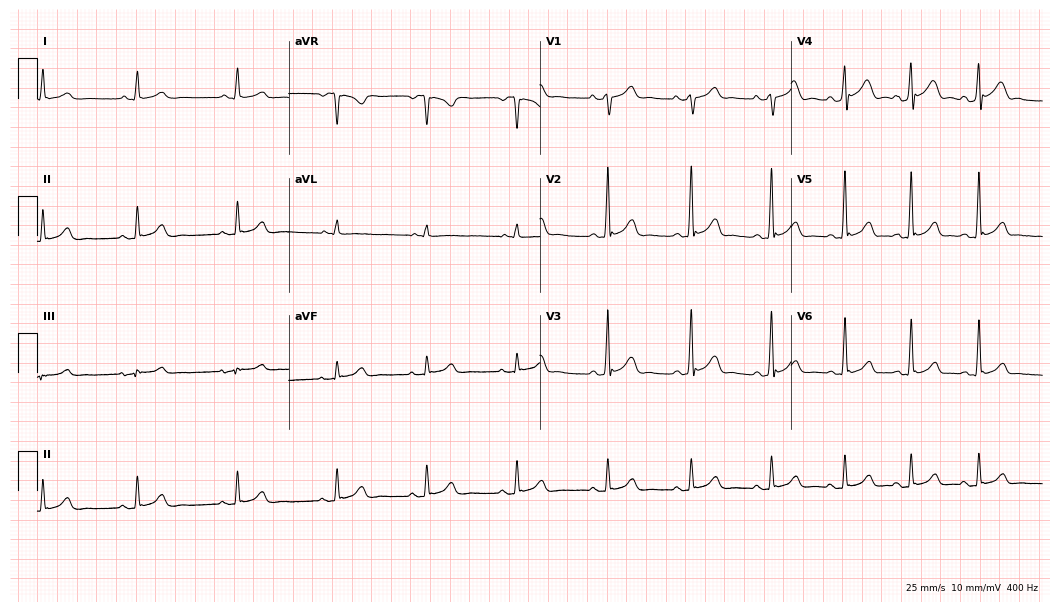
12-lead ECG from a male, 21 years old. Labelled as a normal ECG.